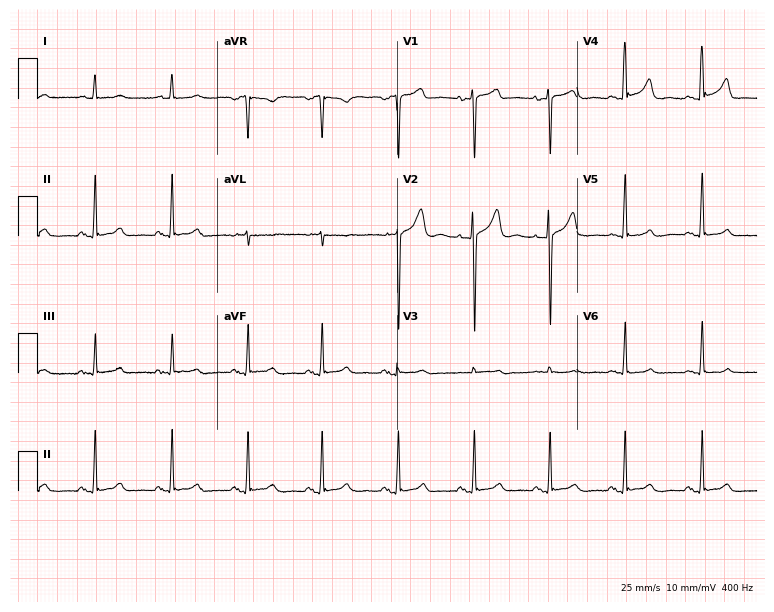
Standard 12-lead ECG recorded from a 62-year-old female patient (7.3-second recording at 400 Hz). None of these six findings is recorded: first-degree AV block, right bundle branch block (RBBB), left bundle branch block (LBBB), sinus bradycardia, atrial fibrillation (AF), sinus tachycardia.